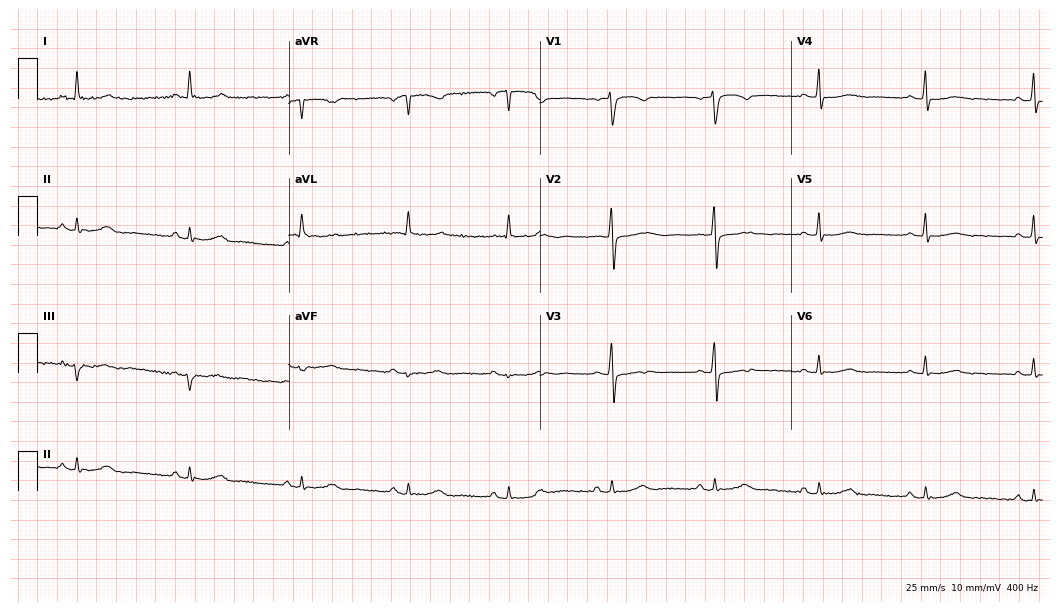
12-lead ECG (10.2-second recording at 400 Hz) from a woman, 66 years old. Screened for six findings — first-degree AV block, right bundle branch block, left bundle branch block, sinus bradycardia, atrial fibrillation, sinus tachycardia — none is recorded. Findings outside these six are not listed.